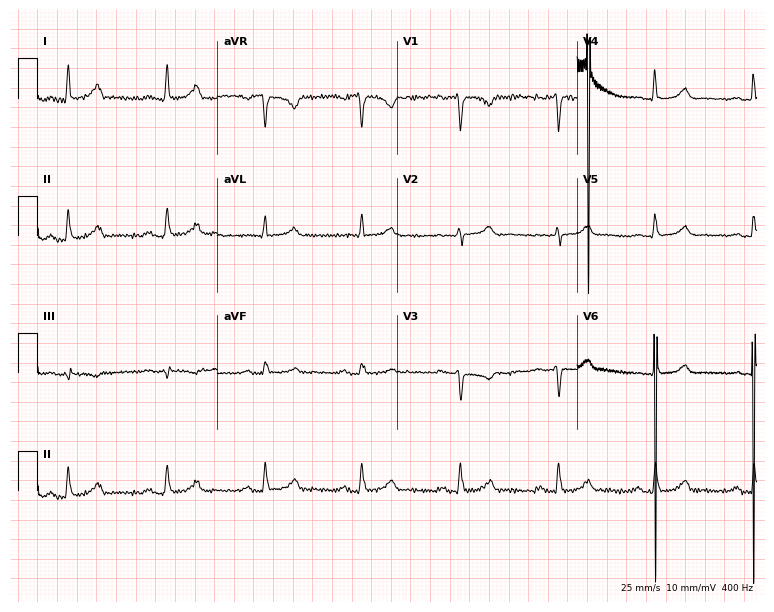
ECG (7.3-second recording at 400 Hz) — a female patient, 51 years old. Labelled as a normal ECG.